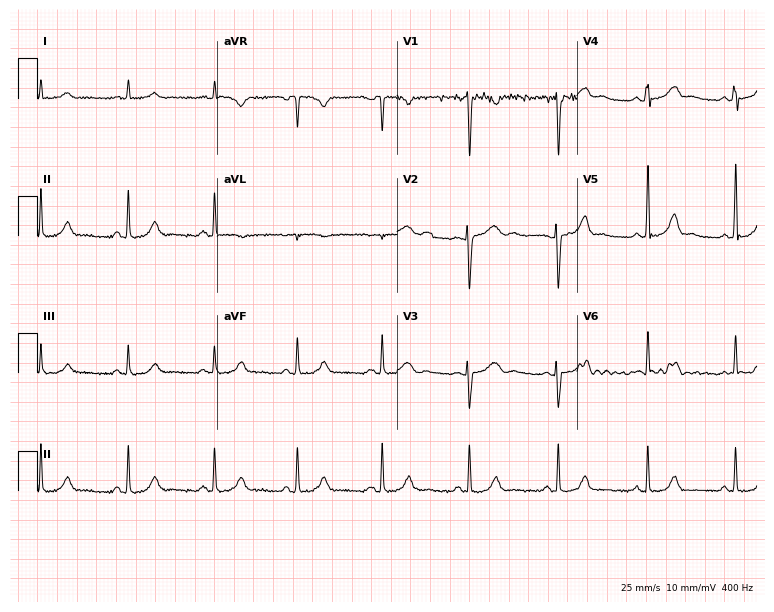
ECG (7.3-second recording at 400 Hz) — a 34-year-old female. Labelled as a normal ECG.